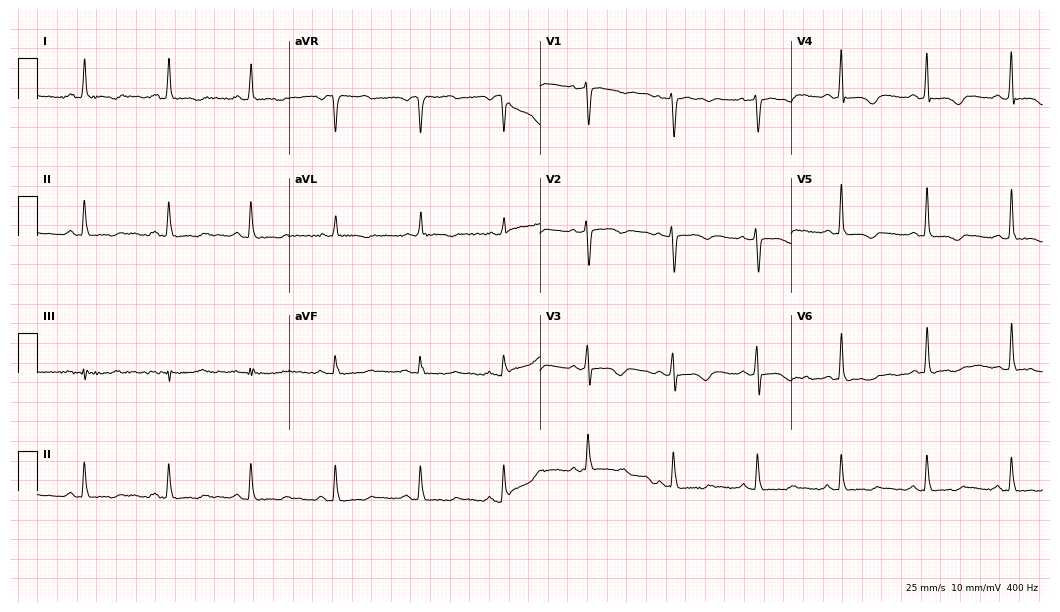
Electrocardiogram, a 54-year-old female patient. Of the six screened findings (first-degree AV block, right bundle branch block, left bundle branch block, sinus bradycardia, atrial fibrillation, sinus tachycardia), none is recorded.